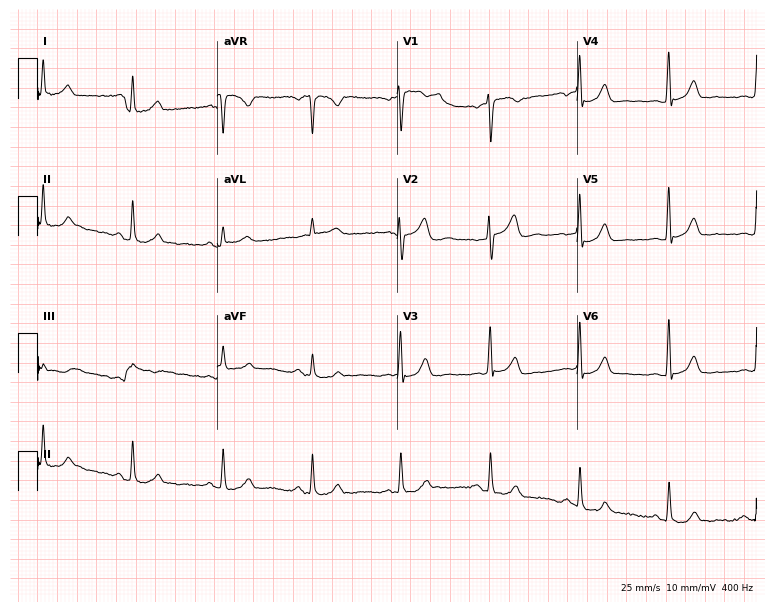
12-lead ECG from a 71-year-old male patient. No first-degree AV block, right bundle branch block, left bundle branch block, sinus bradycardia, atrial fibrillation or sinus tachycardia recorded for this tracing.